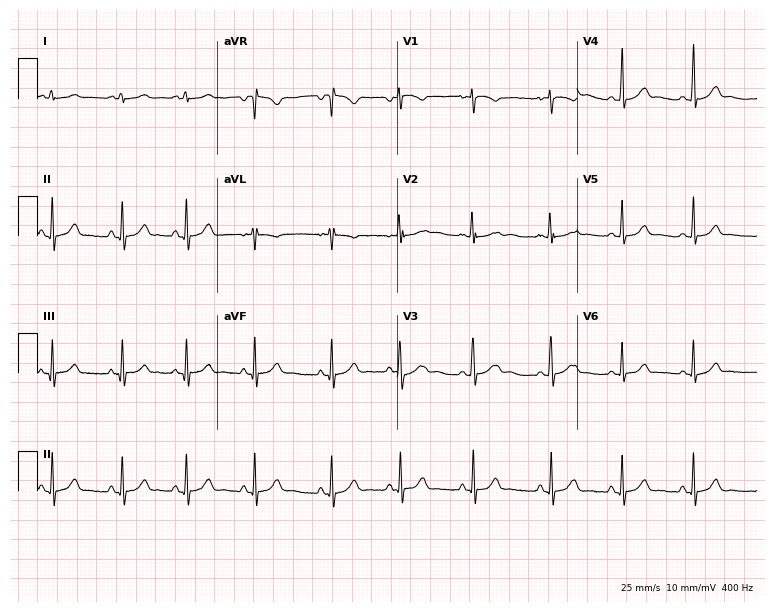
Standard 12-lead ECG recorded from a woman, 20 years old. Read as a normal ECG.